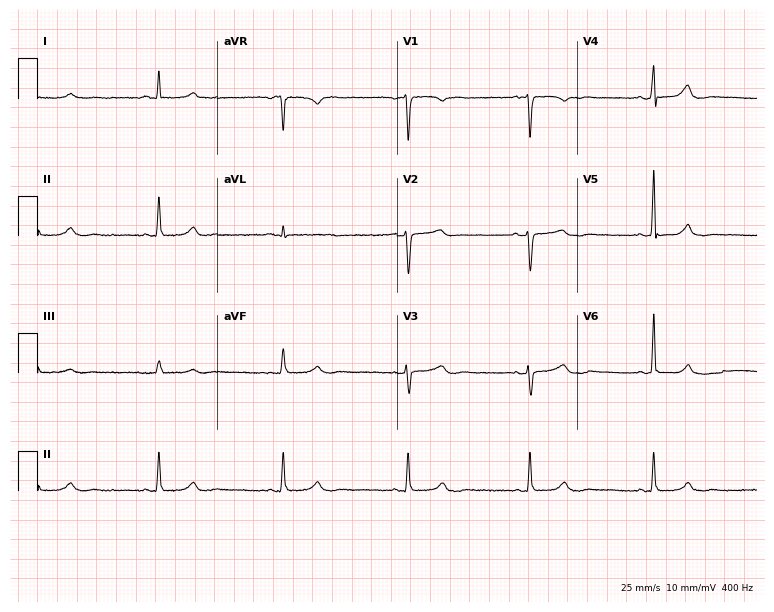
Standard 12-lead ECG recorded from a female patient, 53 years old. The tracing shows sinus bradycardia (a sinus rate of 50 beats per minute or less).